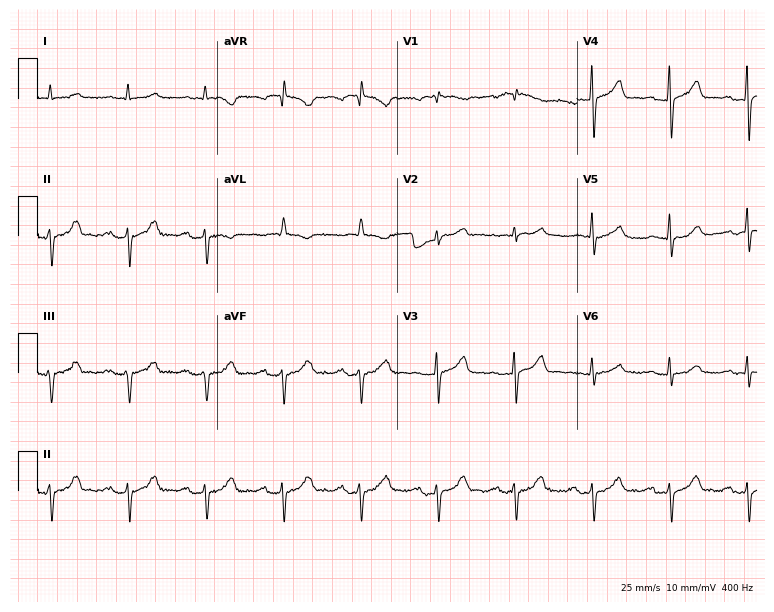
12-lead ECG from a man, 80 years old. Screened for six findings — first-degree AV block, right bundle branch block (RBBB), left bundle branch block (LBBB), sinus bradycardia, atrial fibrillation (AF), sinus tachycardia — none is recorded. Other findings, if any, are not listed.